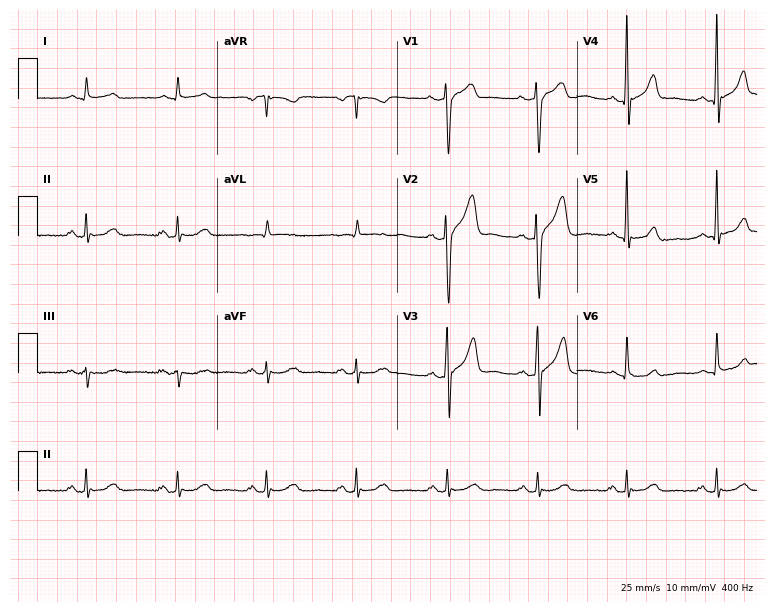
Standard 12-lead ECG recorded from a man, 60 years old. Read as a normal ECG.